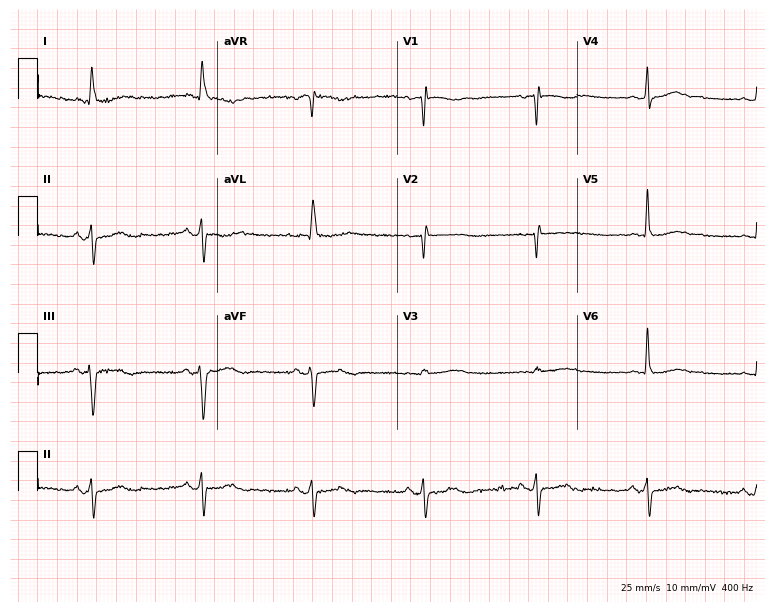
12-lead ECG from a woman, 82 years old (7.3-second recording at 400 Hz). No first-degree AV block, right bundle branch block (RBBB), left bundle branch block (LBBB), sinus bradycardia, atrial fibrillation (AF) or sinus tachycardia recorded for this tracing. Only these six findings were labelled.